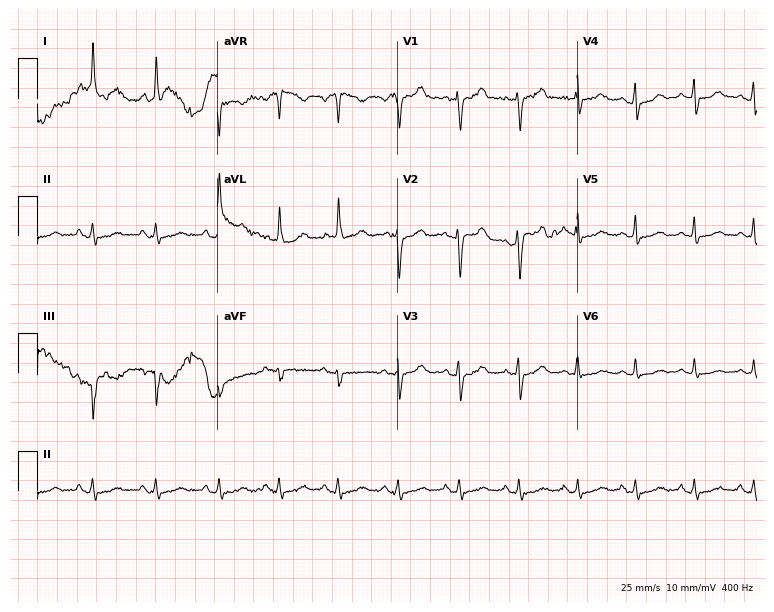
Resting 12-lead electrocardiogram. Patient: a 61-year-old female. None of these six findings is recorded: first-degree AV block, right bundle branch block, left bundle branch block, sinus bradycardia, atrial fibrillation, sinus tachycardia.